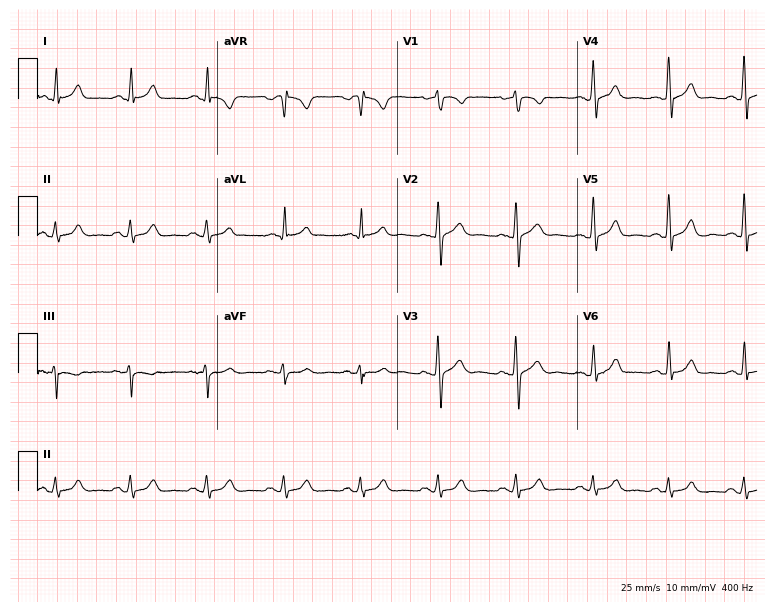
ECG (7.3-second recording at 400 Hz) — a 44-year-old male patient. Labelled as a normal ECG.